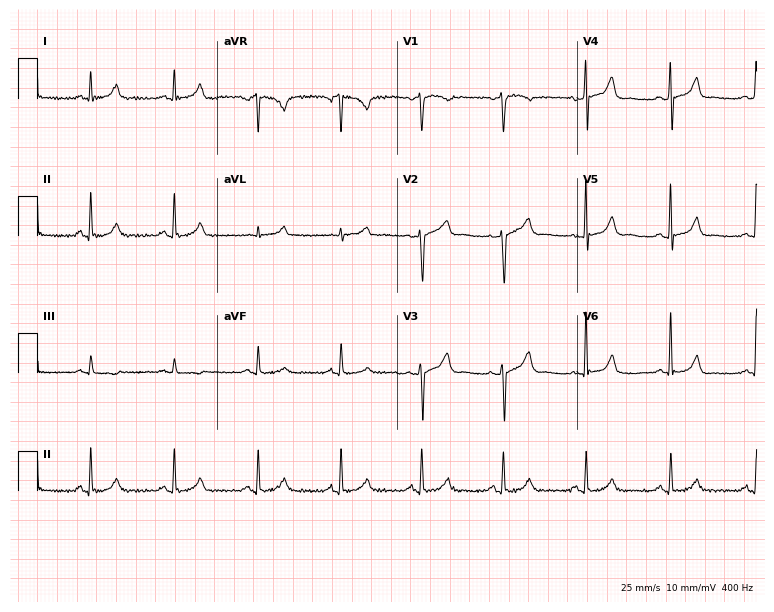
Standard 12-lead ECG recorded from a 52-year-old female patient (7.3-second recording at 400 Hz). None of these six findings is recorded: first-degree AV block, right bundle branch block, left bundle branch block, sinus bradycardia, atrial fibrillation, sinus tachycardia. Findings outside these six are not listed.